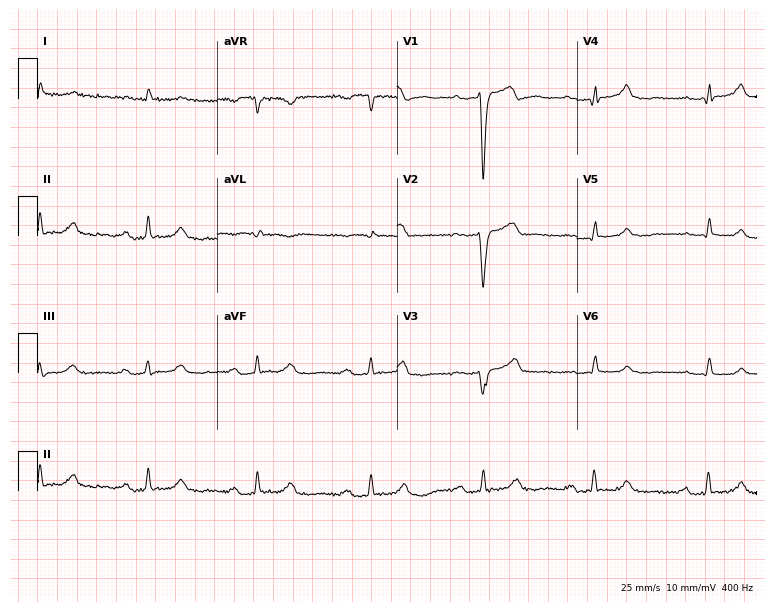
Resting 12-lead electrocardiogram (7.3-second recording at 400 Hz). Patient: a 68-year-old man. None of these six findings is recorded: first-degree AV block, right bundle branch block (RBBB), left bundle branch block (LBBB), sinus bradycardia, atrial fibrillation (AF), sinus tachycardia.